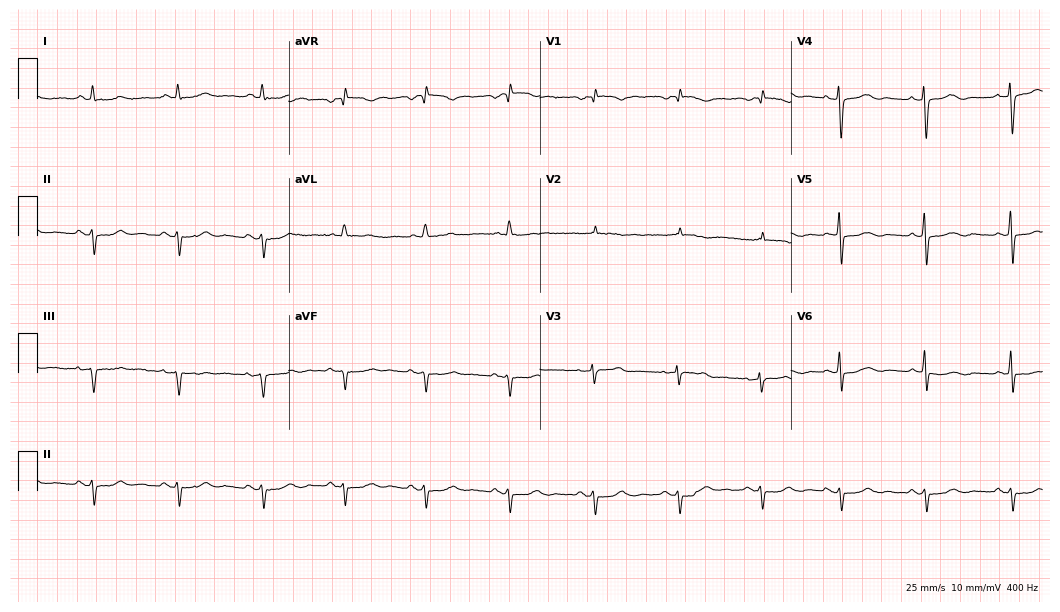
12-lead ECG from a woman, 50 years old (10.2-second recording at 400 Hz). No first-degree AV block, right bundle branch block (RBBB), left bundle branch block (LBBB), sinus bradycardia, atrial fibrillation (AF) or sinus tachycardia recorded for this tracing. Other findings, if any, are not listed.